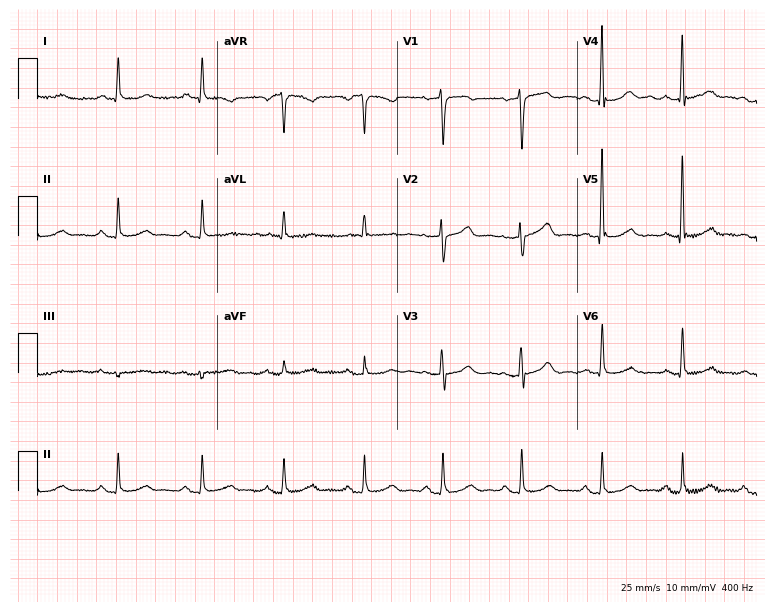
12-lead ECG from a female patient, 80 years old. Screened for six findings — first-degree AV block, right bundle branch block, left bundle branch block, sinus bradycardia, atrial fibrillation, sinus tachycardia — none is recorded.